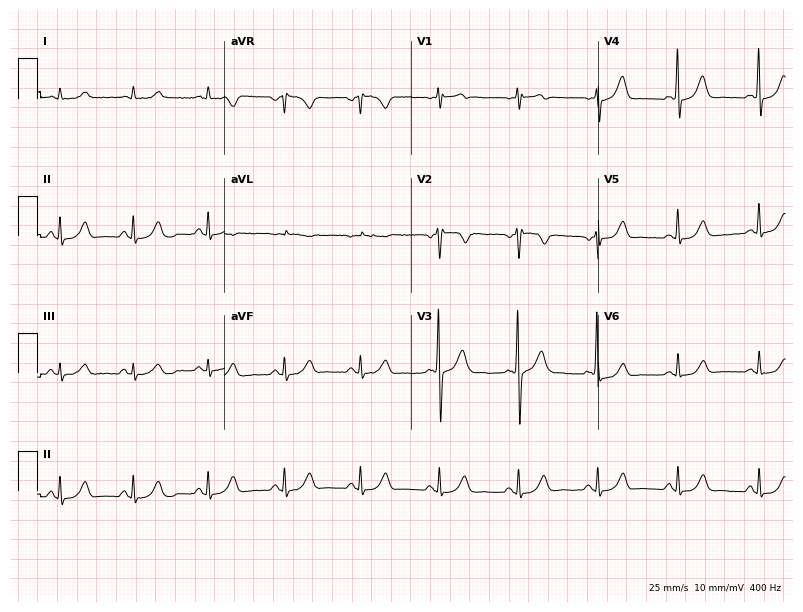
Standard 12-lead ECG recorded from a man, 42 years old (7.6-second recording at 400 Hz). Read as a normal ECG.